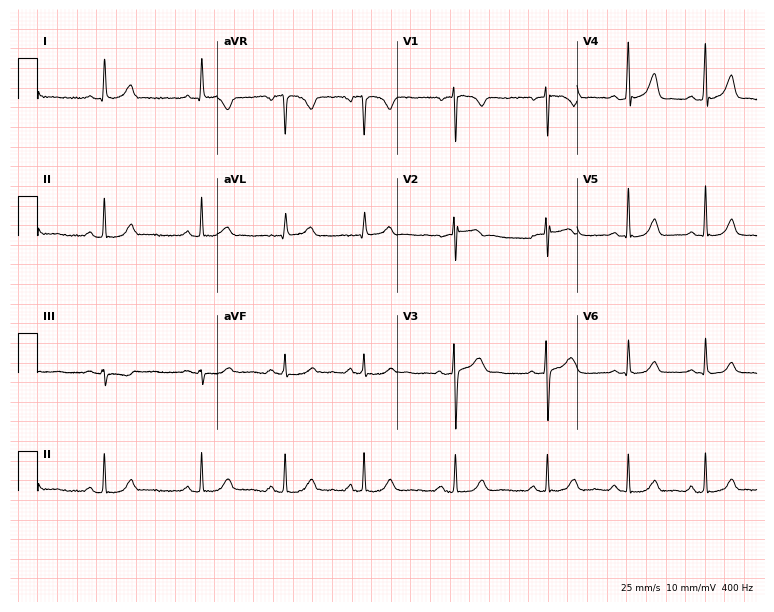
ECG (7.3-second recording at 400 Hz) — a female patient, 29 years old. Labelled as a normal ECG.